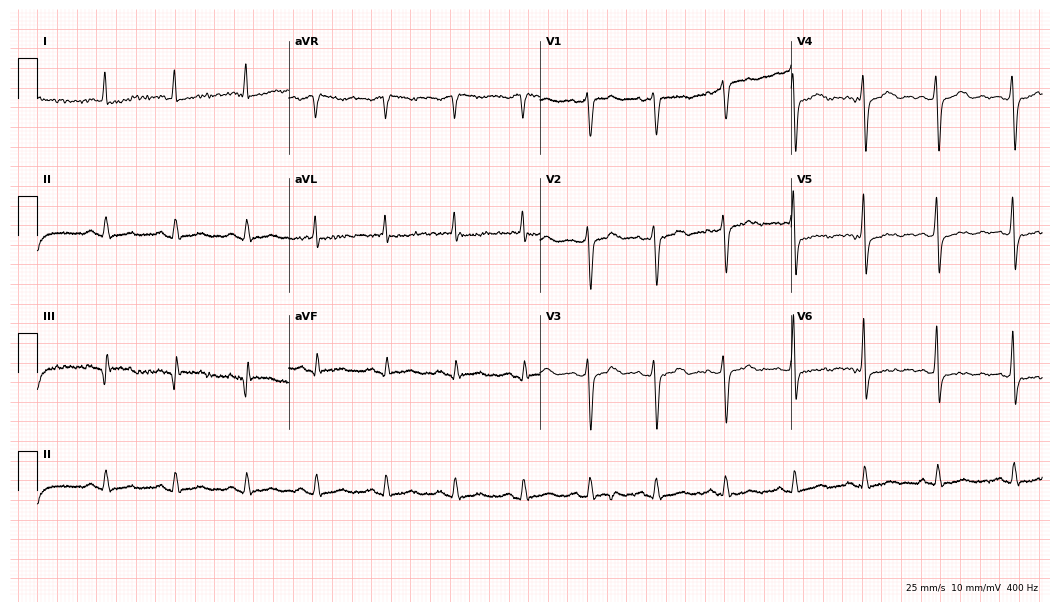
Standard 12-lead ECG recorded from a female patient, 84 years old (10.2-second recording at 400 Hz). None of these six findings is recorded: first-degree AV block, right bundle branch block, left bundle branch block, sinus bradycardia, atrial fibrillation, sinus tachycardia. Other findings, if any, are not listed.